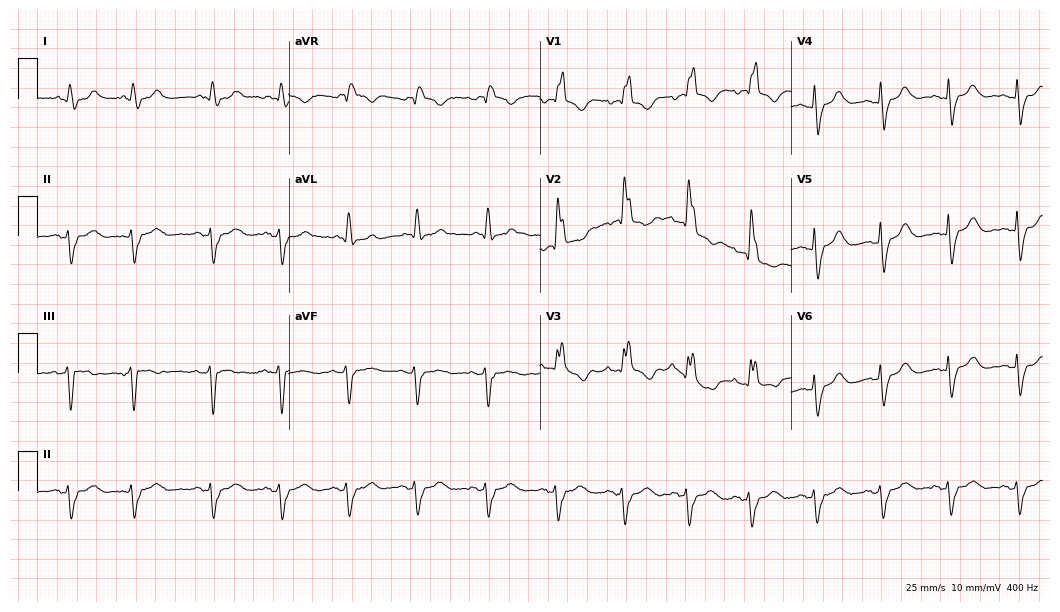
ECG (10.2-second recording at 400 Hz) — an 81-year-old woman. Findings include right bundle branch block (RBBB).